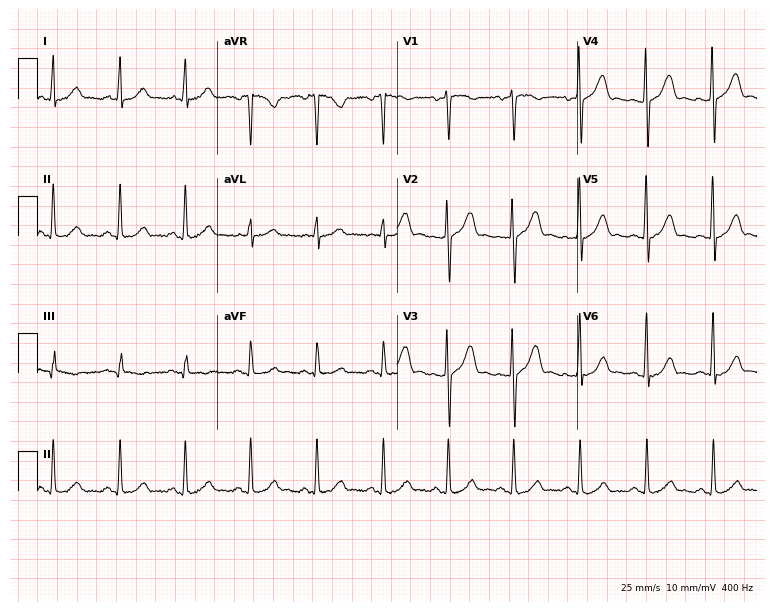
12-lead ECG from a woman, 37 years old. Recorded interpretation: within normal limits.